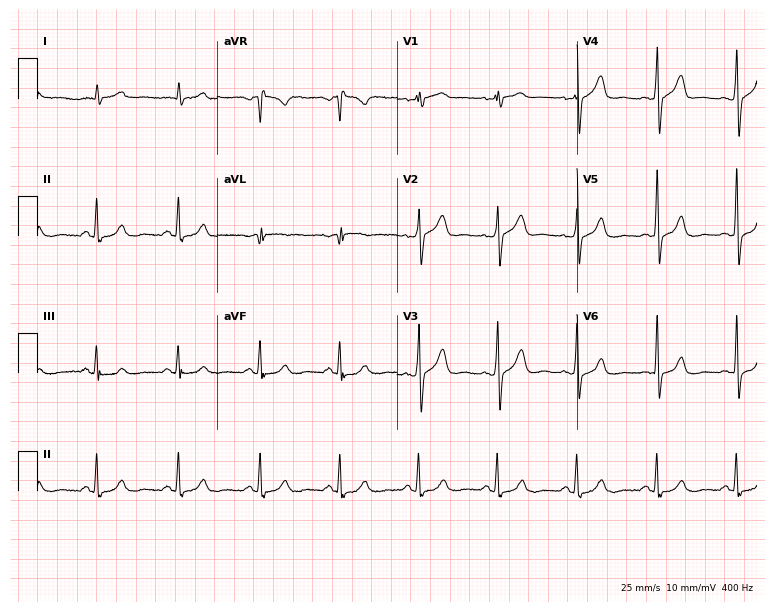
12-lead ECG (7.3-second recording at 400 Hz) from a female, 61 years old. Screened for six findings — first-degree AV block, right bundle branch block, left bundle branch block, sinus bradycardia, atrial fibrillation, sinus tachycardia — none is recorded.